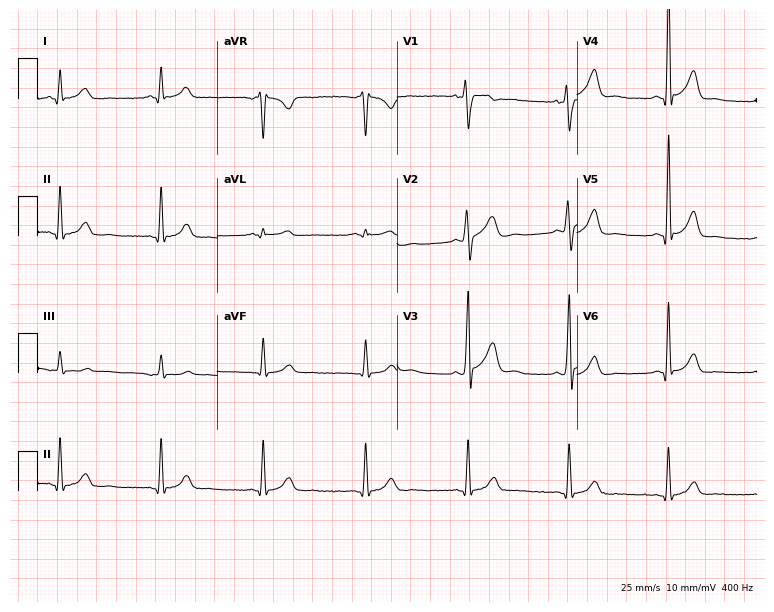
12-lead ECG from a 57-year-old man. No first-degree AV block, right bundle branch block, left bundle branch block, sinus bradycardia, atrial fibrillation or sinus tachycardia recorded for this tracing. Other findings, if any, are not listed.